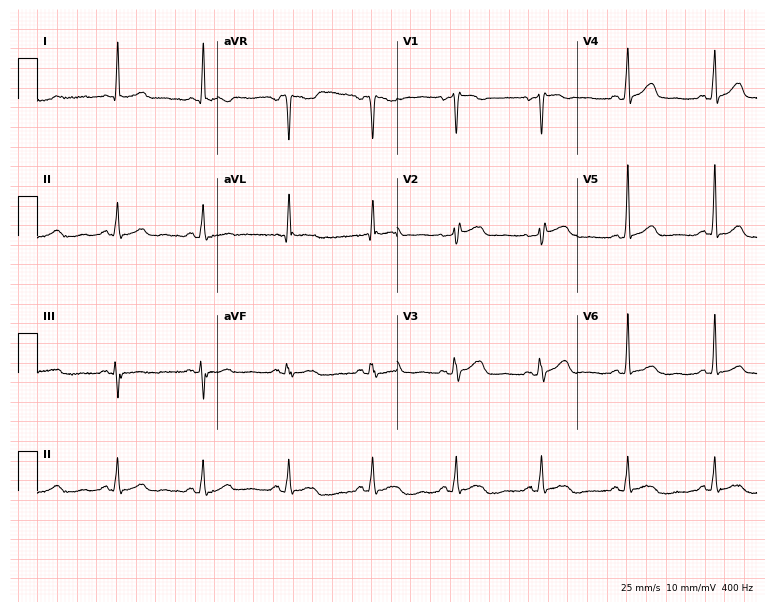
Standard 12-lead ECG recorded from a 62-year-old female. None of these six findings is recorded: first-degree AV block, right bundle branch block, left bundle branch block, sinus bradycardia, atrial fibrillation, sinus tachycardia.